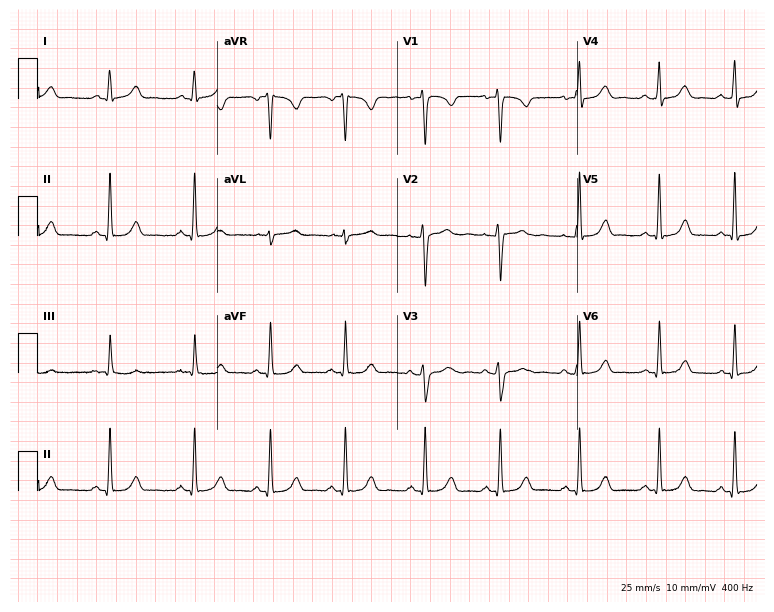
Electrocardiogram (7.3-second recording at 400 Hz), a female patient, 31 years old. Overall reading on record: normal ECG.